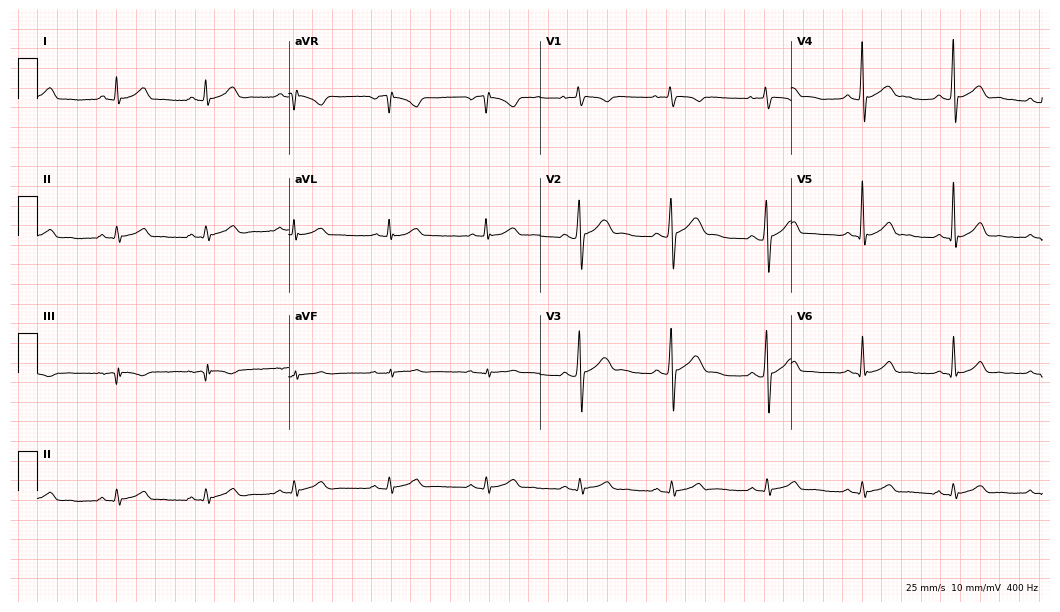
Standard 12-lead ECG recorded from a male, 29 years old. Read as a normal ECG.